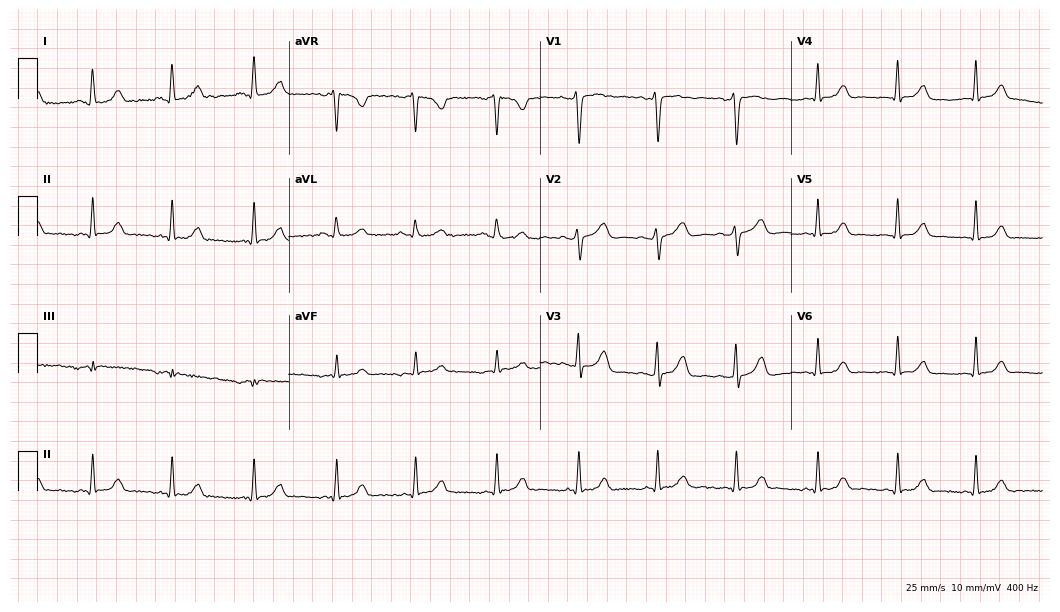
Electrocardiogram (10.2-second recording at 400 Hz), a 42-year-old woman. Of the six screened findings (first-degree AV block, right bundle branch block, left bundle branch block, sinus bradycardia, atrial fibrillation, sinus tachycardia), none is recorded.